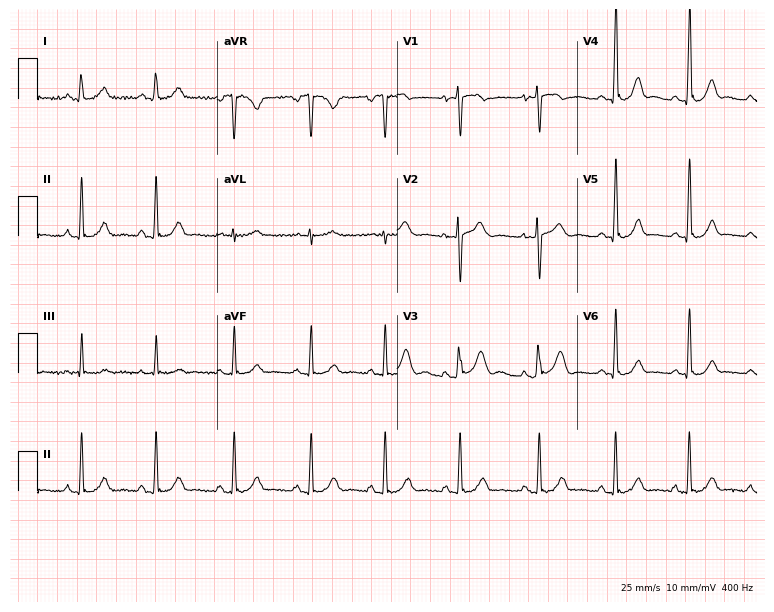
Resting 12-lead electrocardiogram. Patient: a 35-year-old woman. Read as a normal ECG.